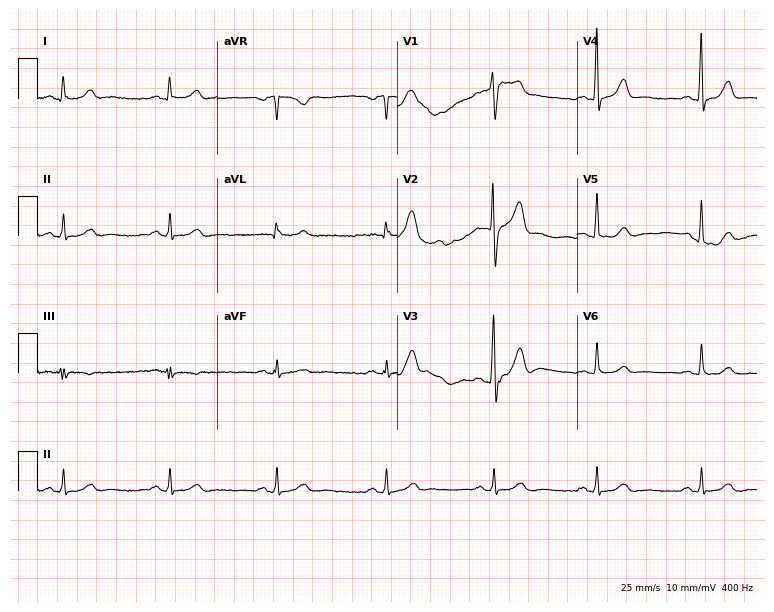
Resting 12-lead electrocardiogram. Patient: a male, 44 years old. None of these six findings is recorded: first-degree AV block, right bundle branch block, left bundle branch block, sinus bradycardia, atrial fibrillation, sinus tachycardia.